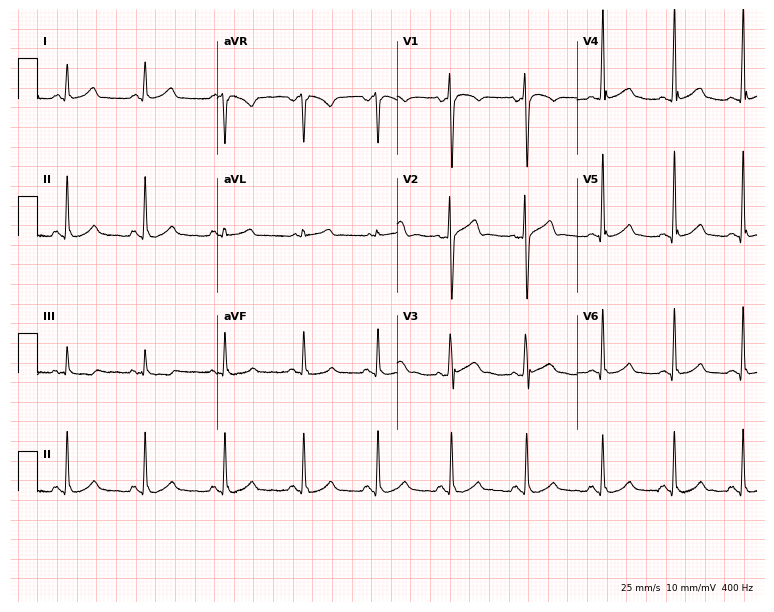
12-lead ECG from a 28-year-old male patient (7.3-second recording at 400 Hz). Recorded interpretation: within normal limits.